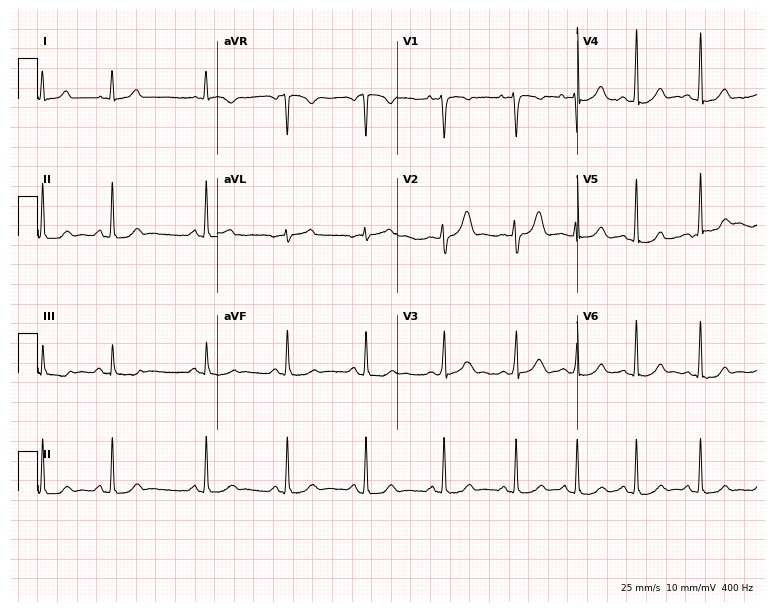
ECG (7.3-second recording at 400 Hz) — a female patient, 32 years old. Labelled as a normal ECG.